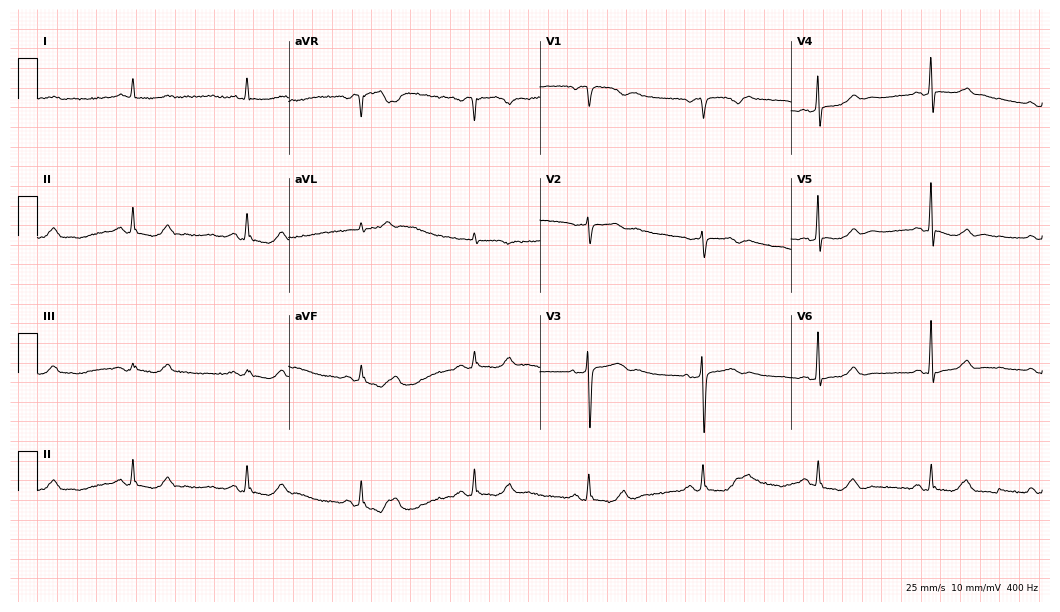
Resting 12-lead electrocardiogram. Patient: a female, 72 years old. None of these six findings is recorded: first-degree AV block, right bundle branch block, left bundle branch block, sinus bradycardia, atrial fibrillation, sinus tachycardia.